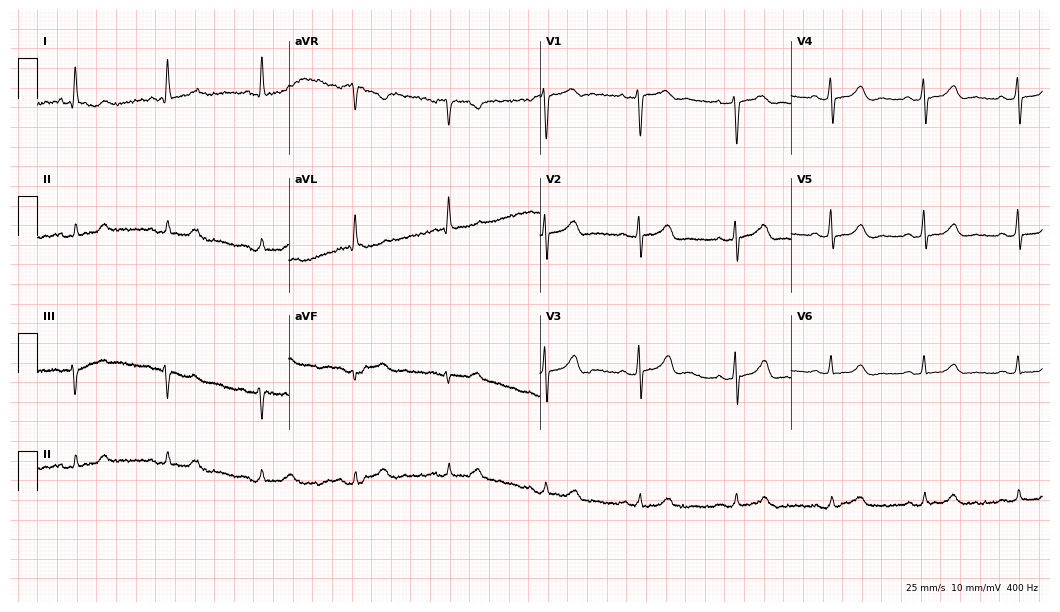
Standard 12-lead ECG recorded from a woman, 74 years old (10.2-second recording at 400 Hz). Read as a normal ECG.